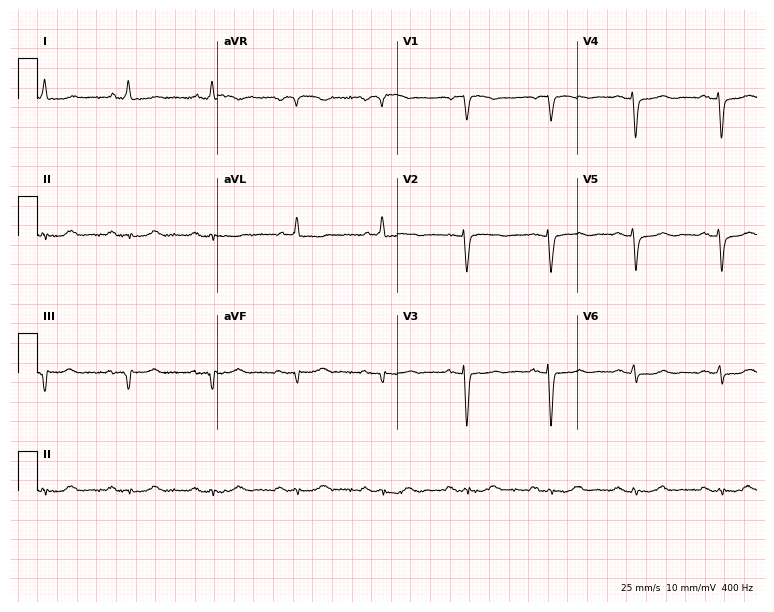
Standard 12-lead ECG recorded from a male, 83 years old. None of these six findings is recorded: first-degree AV block, right bundle branch block, left bundle branch block, sinus bradycardia, atrial fibrillation, sinus tachycardia. Findings outside these six are not listed.